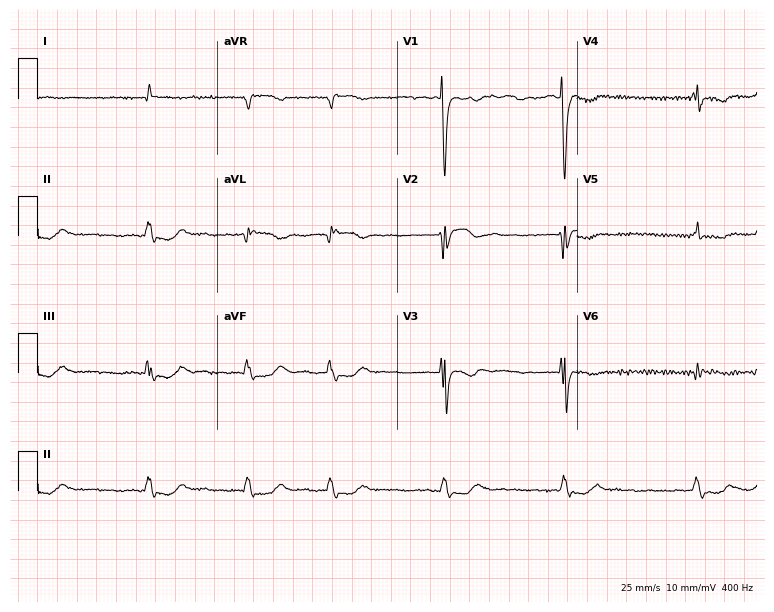
Standard 12-lead ECG recorded from a male patient, 62 years old (7.3-second recording at 400 Hz). The tracing shows atrial fibrillation.